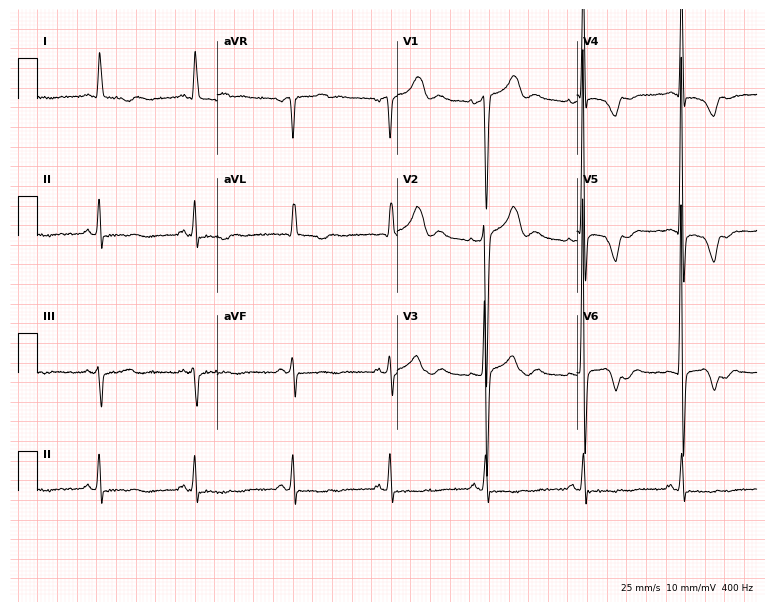
12-lead ECG (7.3-second recording at 400 Hz) from a 76-year-old male. Screened for six findings — first-degree AV block, right bundle branch block, left bundle branch block, sinus bradycardia, atrial fibrillation, sinus tachycardia — none is recorded. Other findings, if any, are not listed.